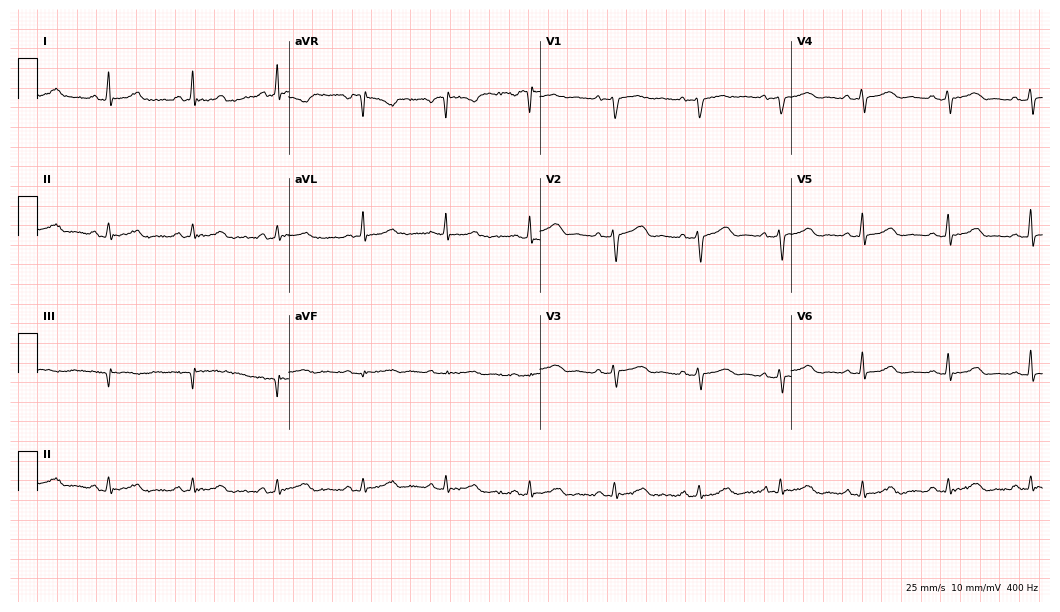
Resting 12-lead electrocardiogram (10.2-second recording at 400 Hz). Patient: a 51-year-old female. Read as a normal ECG.